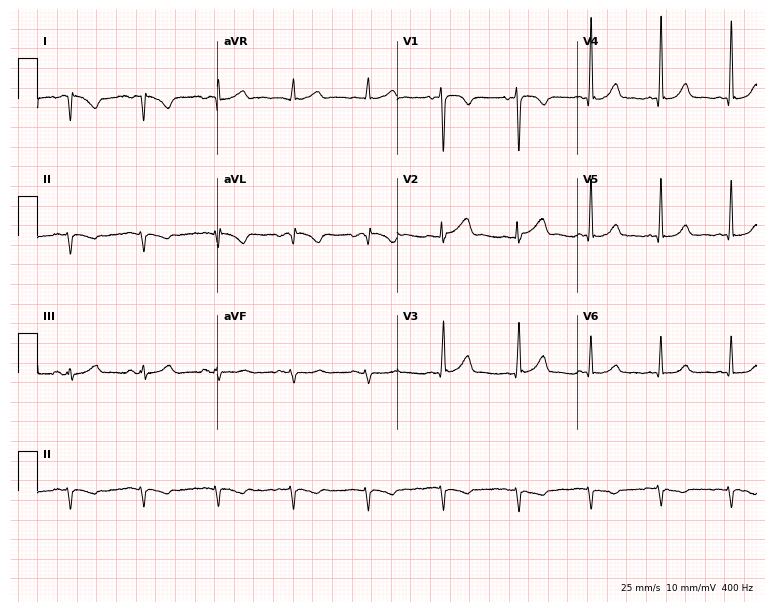
Electrocardiogram (7.3-second recording at 400 Hz), a woman, 52 years old. Of the six screened findings (first-degree AV block, right bundle branch block (RBBB), left bundle branch block (LBBB), sinus bradycardia, atrial fibrillation (AF), sinus tachycardia), none is recorded.